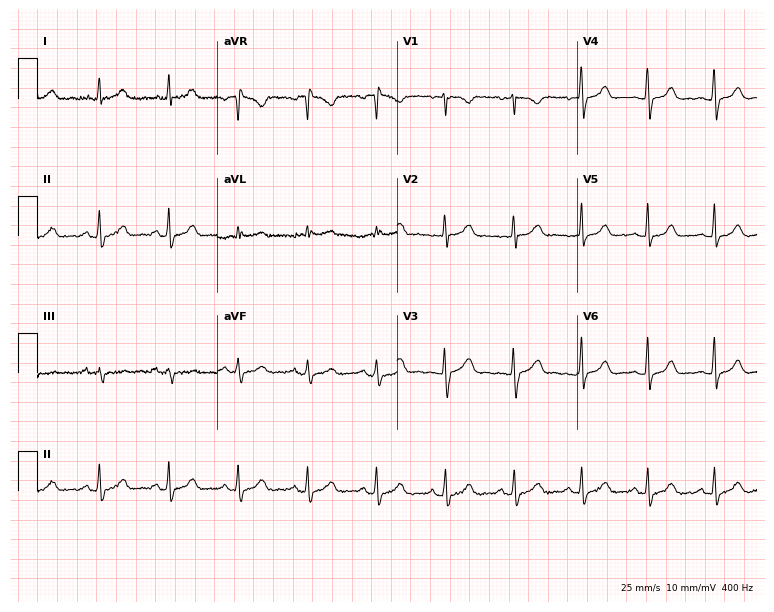
12-lead ECG from a woman, 25 years old. Recorded interpretation: within normal limits.